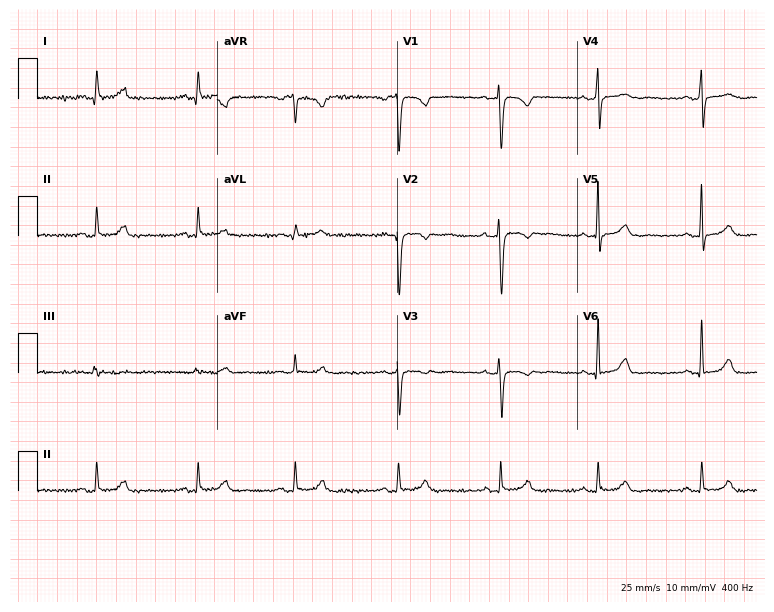
12-lead ECG (7.3-second recording at 400 Hz) from a female, 37 years old. Screened for six findings — first-degree AV block, right bundle branch block, left bundle branch block, sinus bradycardia, atrial fibrillation, sinus tachycardia — none is recorded.